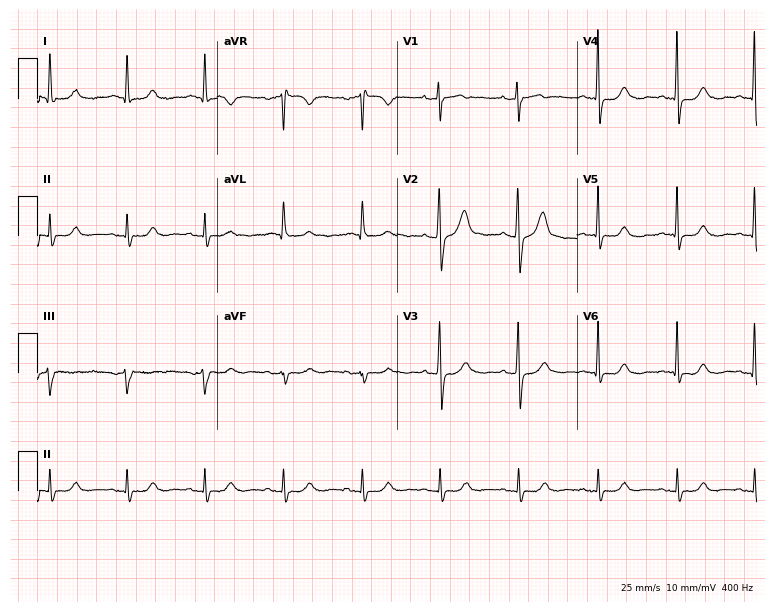
12-lead ECG (7.3-second recording at 400 Hz) from a 65-year-old female patient. Screened for six findings — first-degree AV block, right bundle branch block, left bundle branch block, sinus bradycardia, atrial fibrillation, sinus tachycardia — none is recorded.